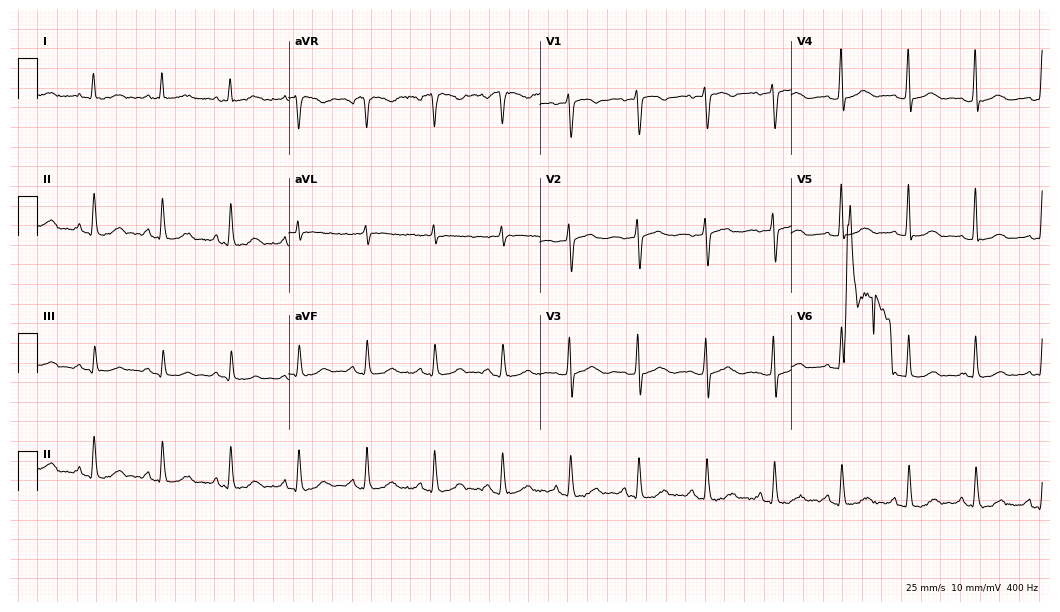
12-lead ECG from a 48-year-old female patient (10.2-second recording at 400 Hz). Recorded interpretation: within normal limits.